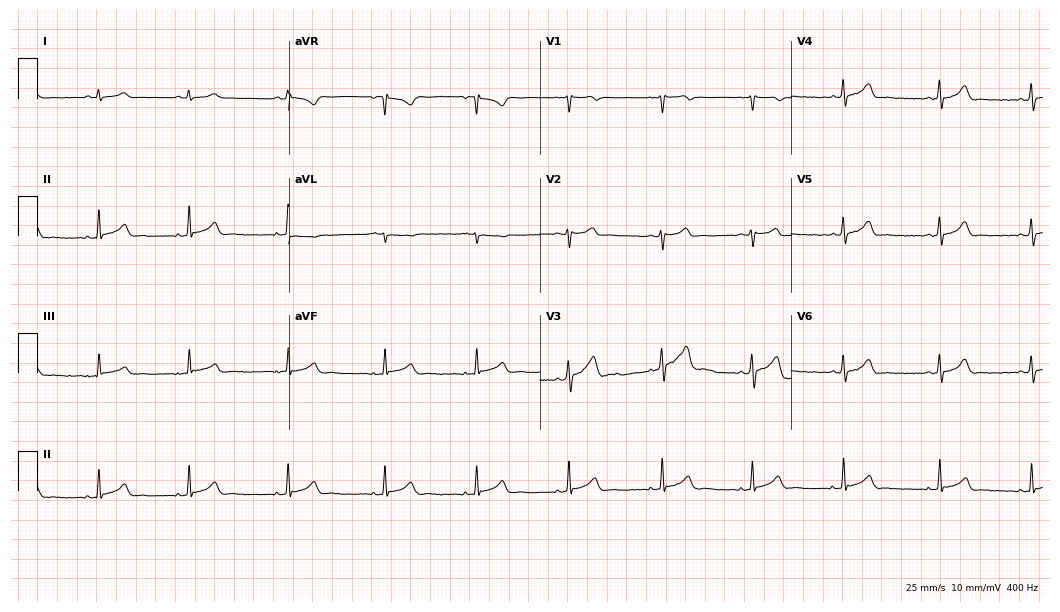
ECG (10.2-second recording at 400 Hz) — a 26-year-old man. Labelled as a normal ECG.